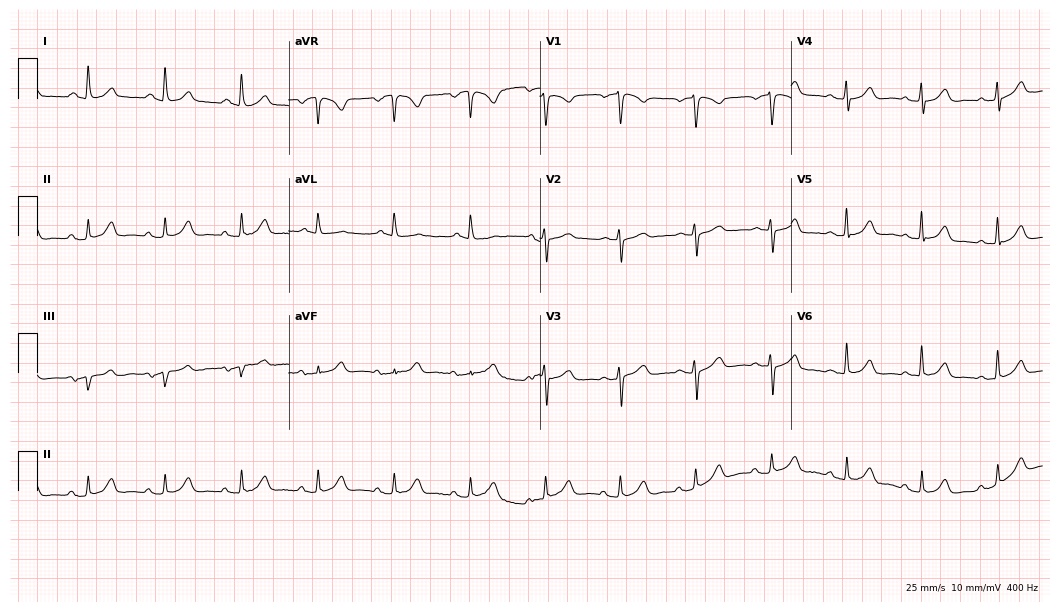
12-lead ECG from a male, 61 years old. Recorded interpretation: within normal limits.